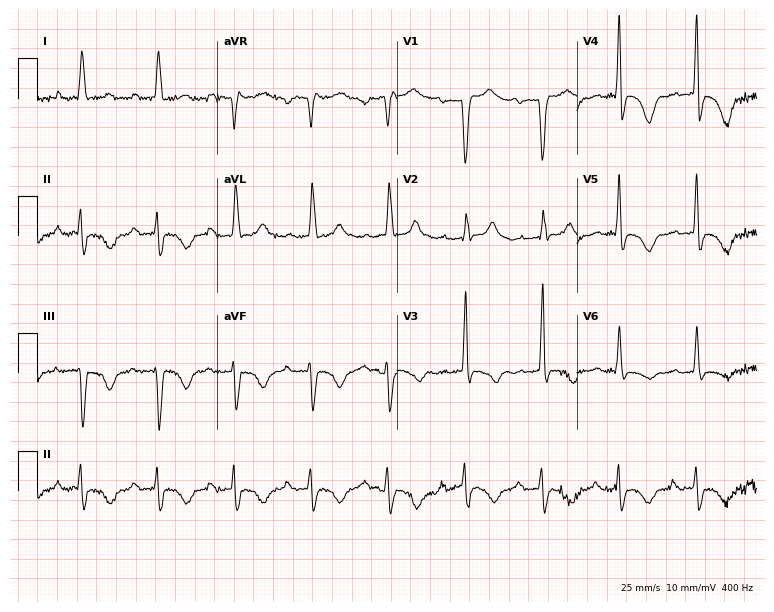
12-lead ECG from a man, 81 years old. Screened for six findings — first-degree AV block, right bundle branch block, left bundle branch block, sinus bradycardia, atrial fibrillation, sinus tachycardia — none is recorded. Other findings, if any, are not listed.